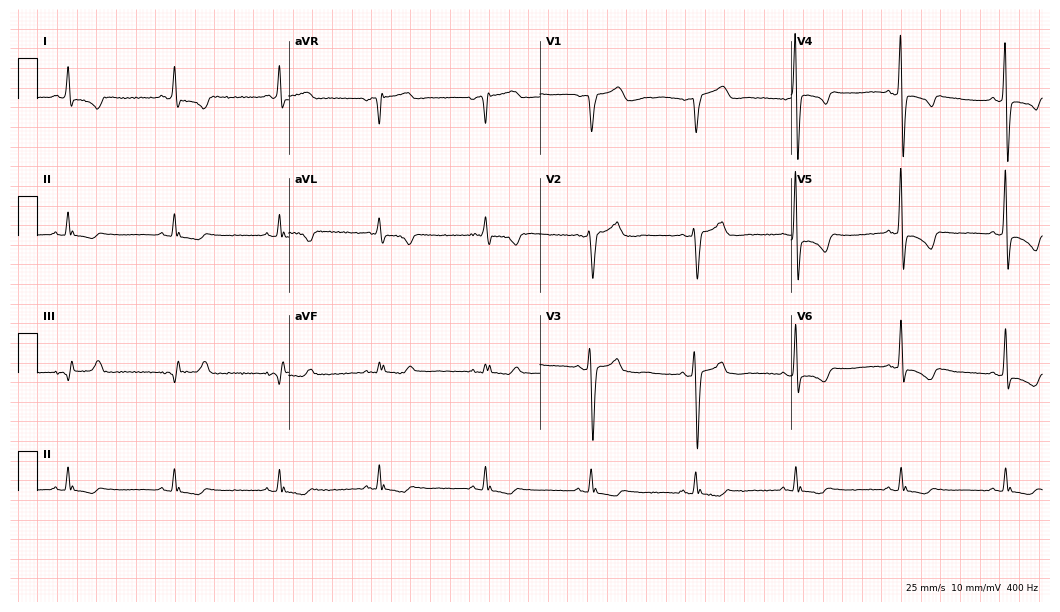
ECG (10.2-second recording at 400 Hz) — a 60-year-old man. Screened for six findings — first-degree AV block, right bundle branch block, left bundle branch block, sinus bradycardia, atrial fibrillation, sinus tachycardia — none is recorded. Findings outside these six are not listed.